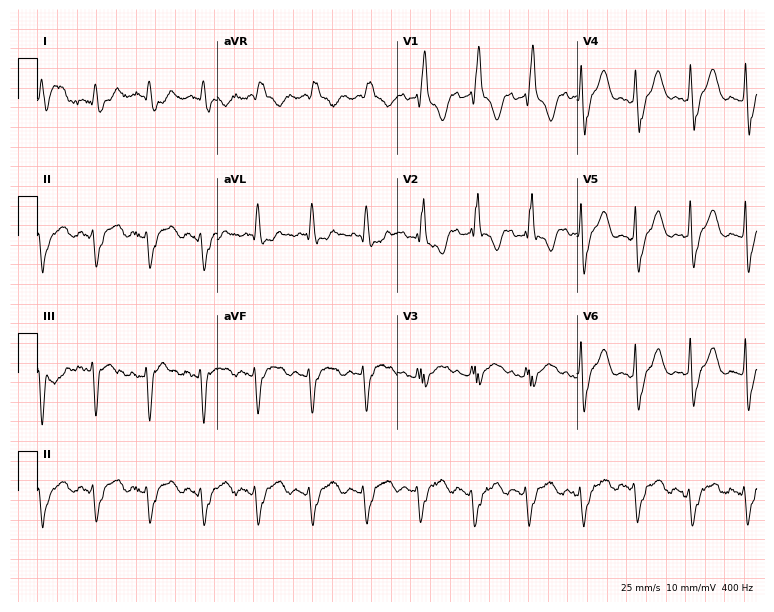
Resting 12-lead electrocardiogram. Patient: a 61-year-old male. The tracing shows right bundle branch block, sinus tachycardia (a sinus rate of 100 beats per minute or more).